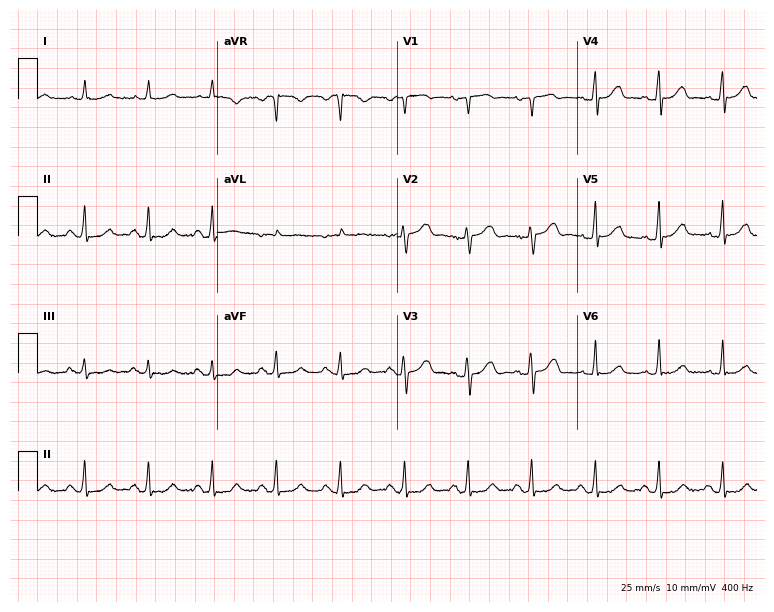
Electrocardiogram, an 85-year-old man. Of the six screened findings (first-degree AV block, right bundle branch block (RBBB), left bundle branch block (LBBB), sinus bradycardia, atrial fibrillation (AF), sinus tachycardia), none is recorded.